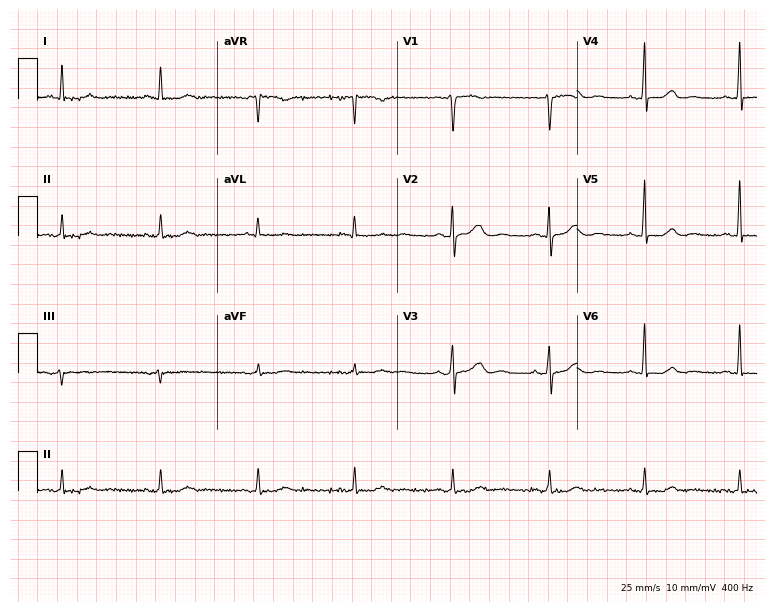
ECG — a man, 81 years old. Labelled as a normal ECG.